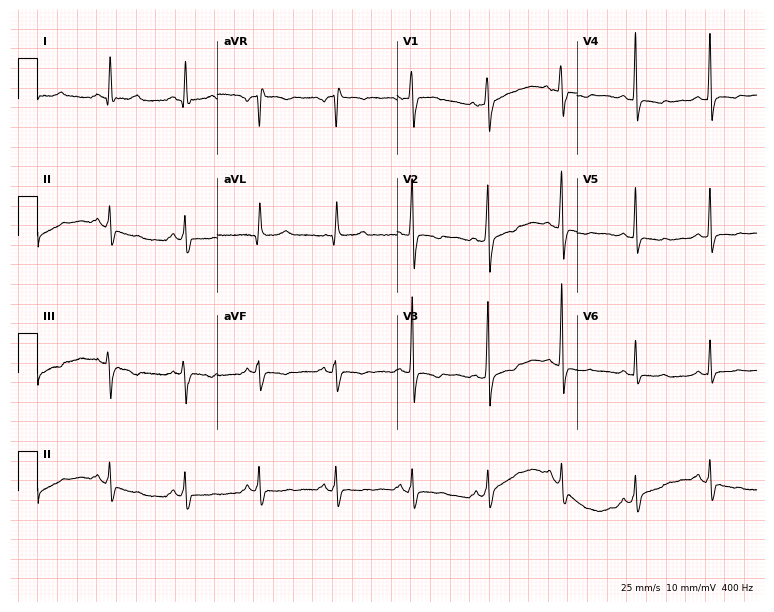
12-lead ECG from a 56-year-old woman. Screened for six findings — first-degree AV block, right bundle branch block, left bundle branch block, sinus bradycardia, atrial fibrillation, sinus tachycardia — none is recorded. Only these six findings were labelled.